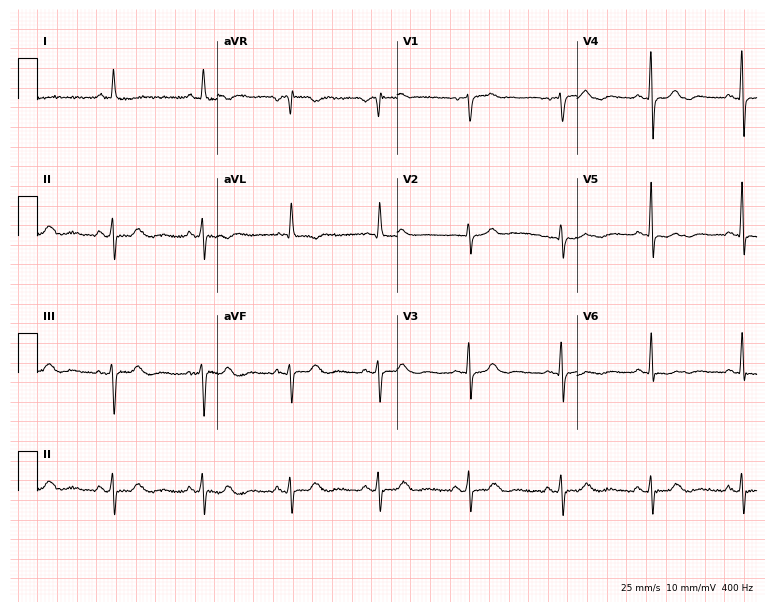
Electrocardiogram (7.3-second recording at 400 Hz), a female patient, 77 years old. Of the six screened findings (first-degree AV block, right bundle branch block, left bundle branch block, sinus bradycardia, atrial fibrillation, sinus tachycardia), none is recorded.